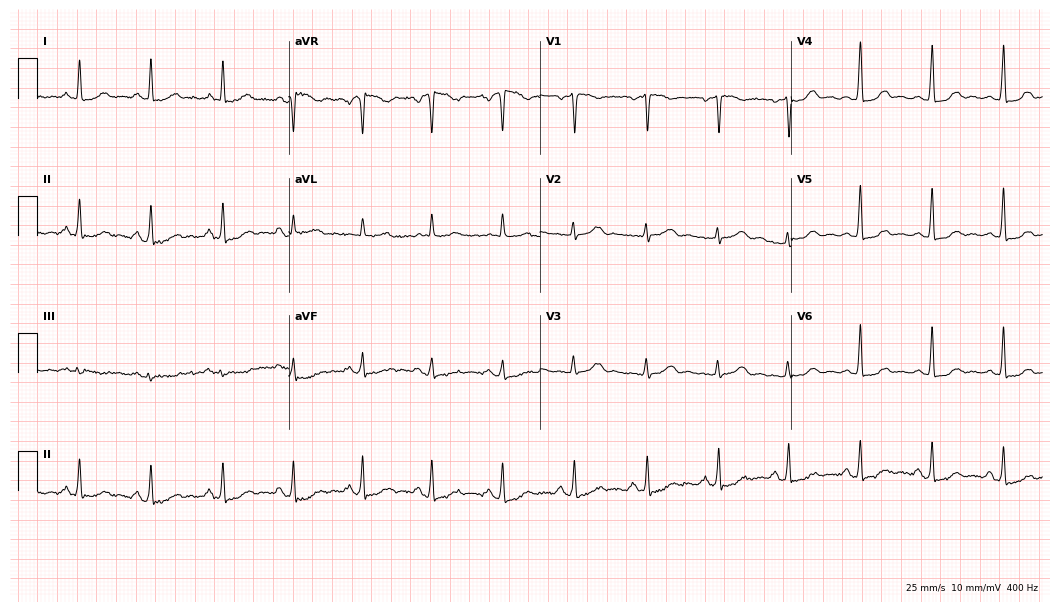
Resting 12-lead electrocardiogram. Patient: a female, 44 years old. None of these six findings is recorded: first-degree AV block, right bundle branch block, left bundle branch block, sinus bradycardia, atrial fibrillation, sinus tachycardia.